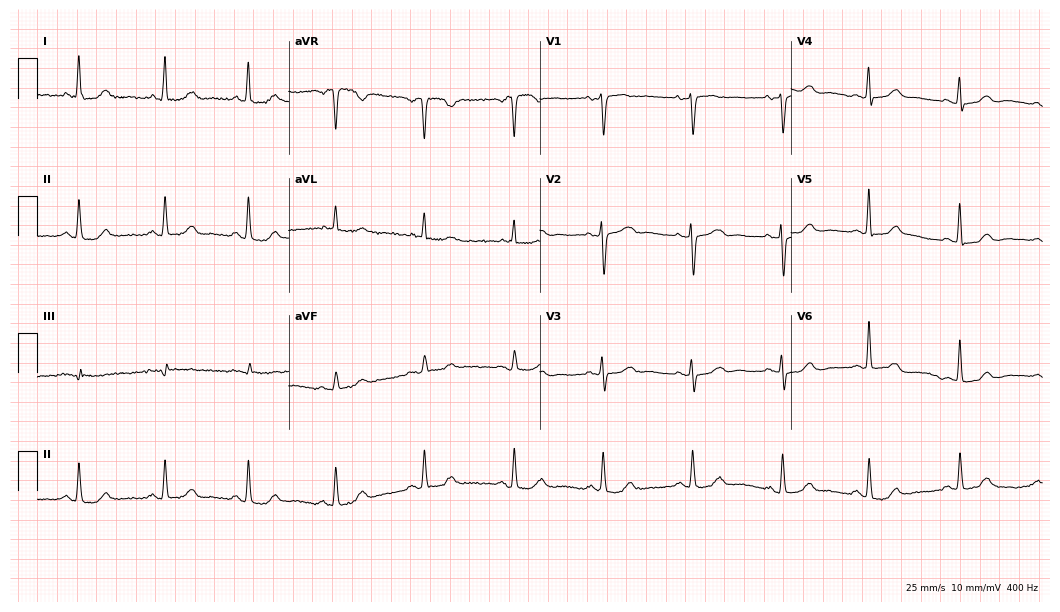
Standard 12-lead ECG recorded from a 70-year-old woman. Read as a normal ECG.